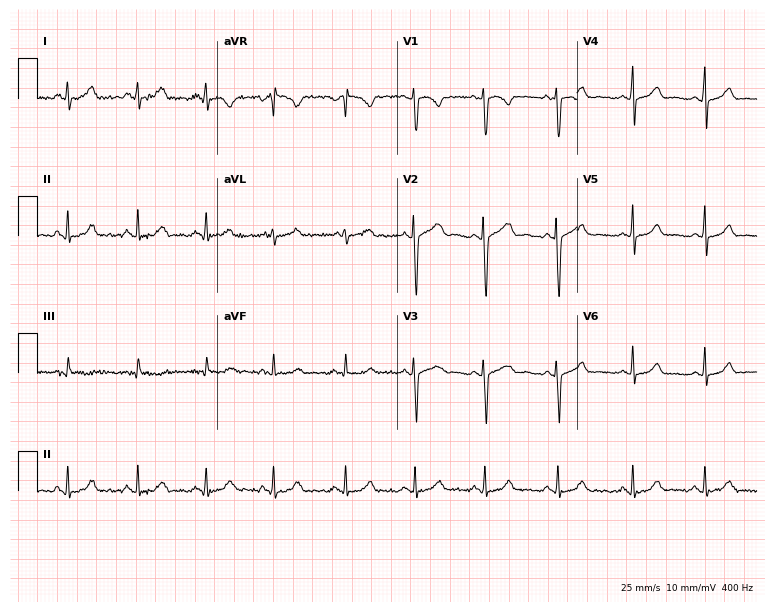
12-lead ECG from a female patient, 17 years old. Screened for six findings — first-degree AV block, right bundle branch block, left bundle branch block, sinus bradycardia, atrial fibrillation, sinus tachycardia — none is recorded.